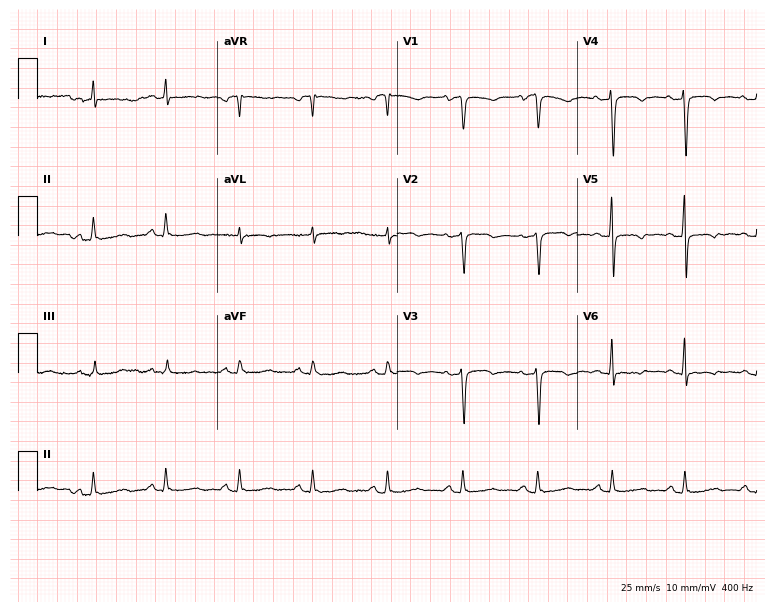
12-lead ECG from a woman, 55 years old. Screened for six findings — first-degree AV block, right bundle branch block, left bundle branch block, sinus bradycardia, atrial fibrillation, sinus tachycardia — none is recorded. Other findings, if any, are not listed.